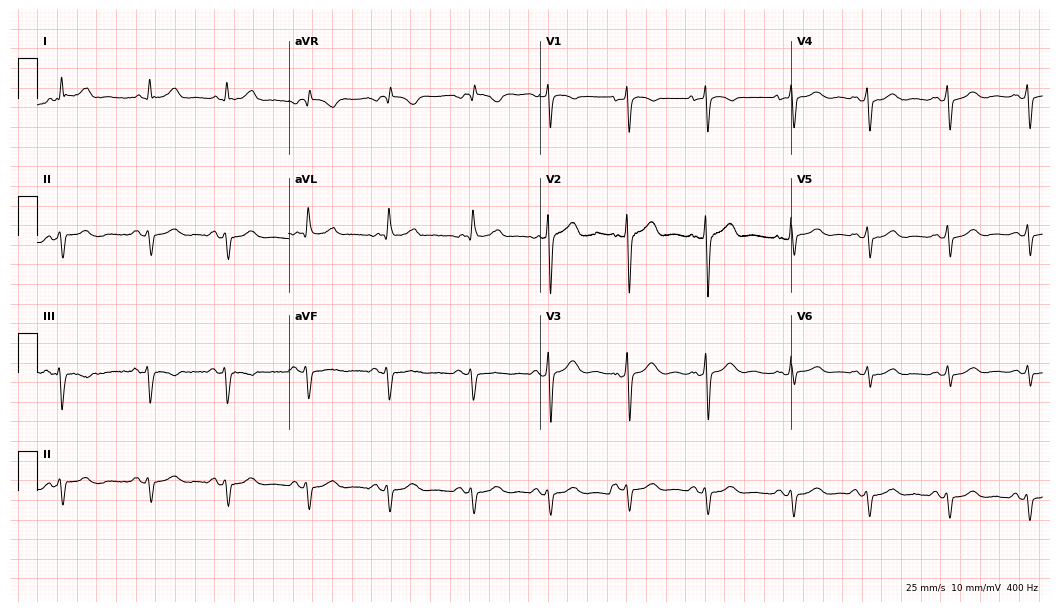
Resting 12-lead electrocardiogram. Patient: a 64-year-old female. None of these six findings is recorded: first-degree AV block, right bundle branch block (RBBB), left bundle branch block (LBBB), sinus bradycardia, atrial fibrillation (AF), sinus tachycardia.